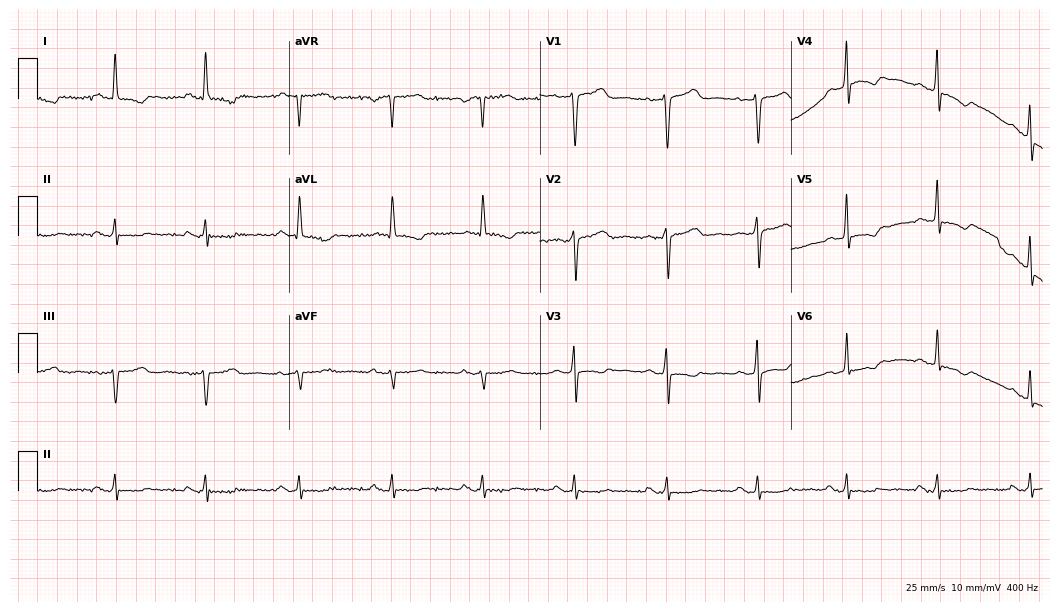
12-lead ECG from a woman, 55 years old. No first-degree AV block, right bundle branch block (RBBB), left bundle branch block (LBBB), sinus bradycardia, atrial fibrillation (AF) or sinus tachycardia recorded for this tracing. Other findings, if any, are not listed.